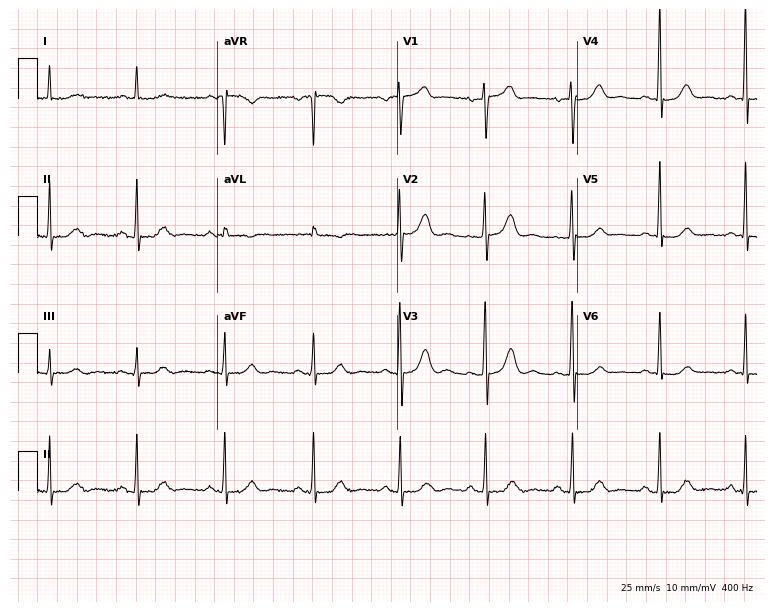
Standard 12-lead ECG recorded from a 64-year-old female patient. Read as a normal ECG.